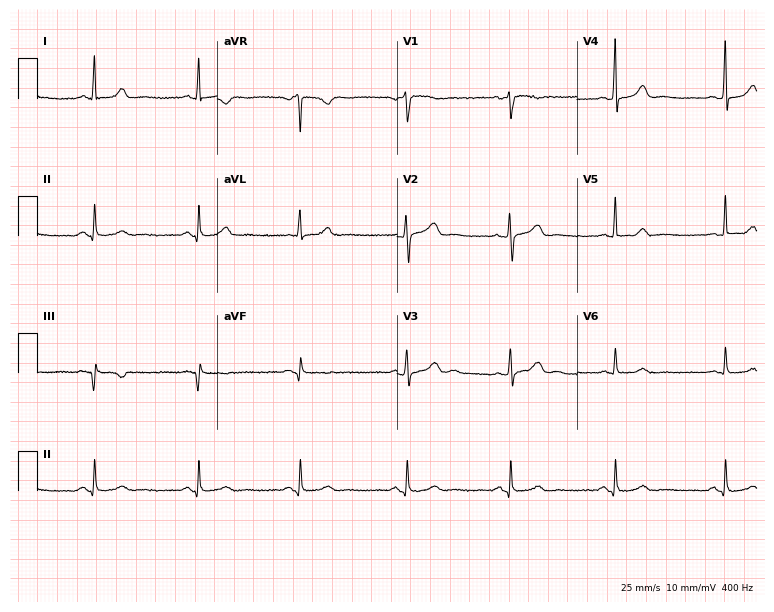
12-lead ECG from a 42-year-old female patient (7.3-second recording at 400 Hz). Recorded interpretation: within normal limits.